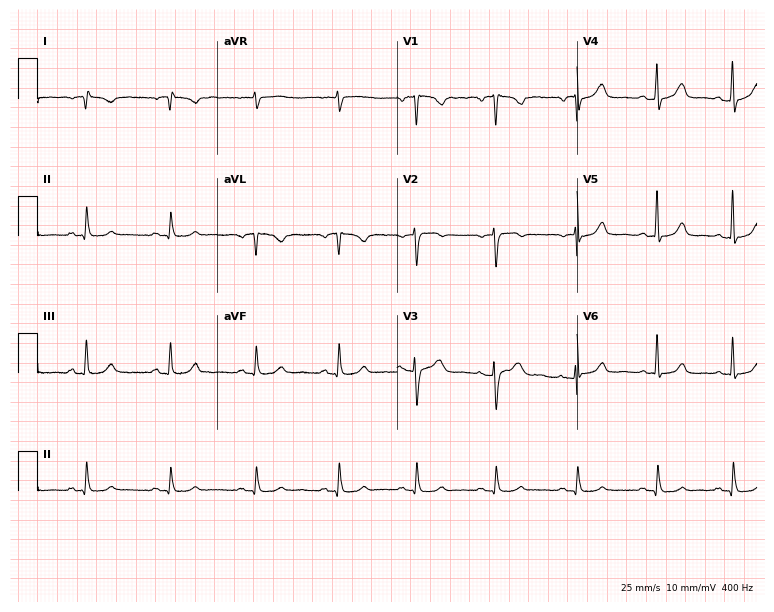
12-lead ECG from a 44-year-old woman (7.3-second recording at 400 Hz). Recorded interpretation: within normal limits.